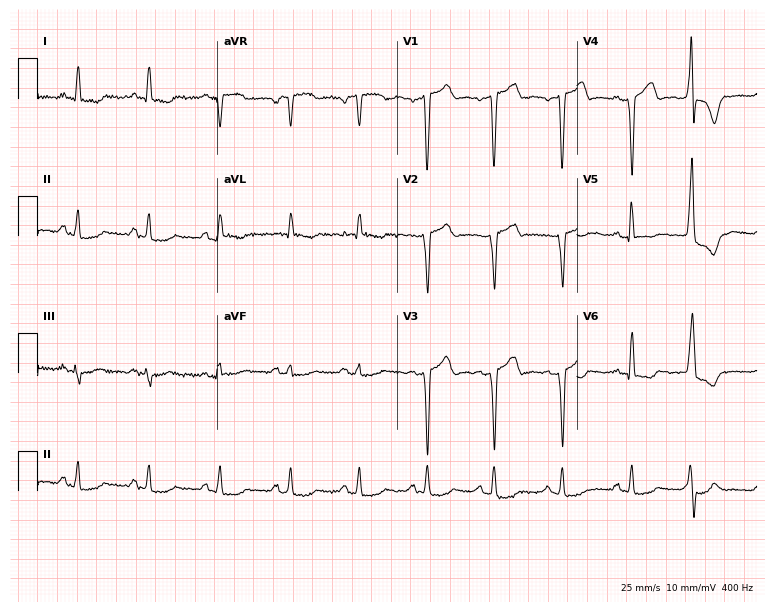
Standard 12-lead ECG recorded from a 58-year-old man. None of these six findings is recorded: first-degree AV block, right bundle branch block, left bundle branch block, sinus bradycardia, atrial fibrillation, sinus tachycardia. Other findings, if any, are not listed.